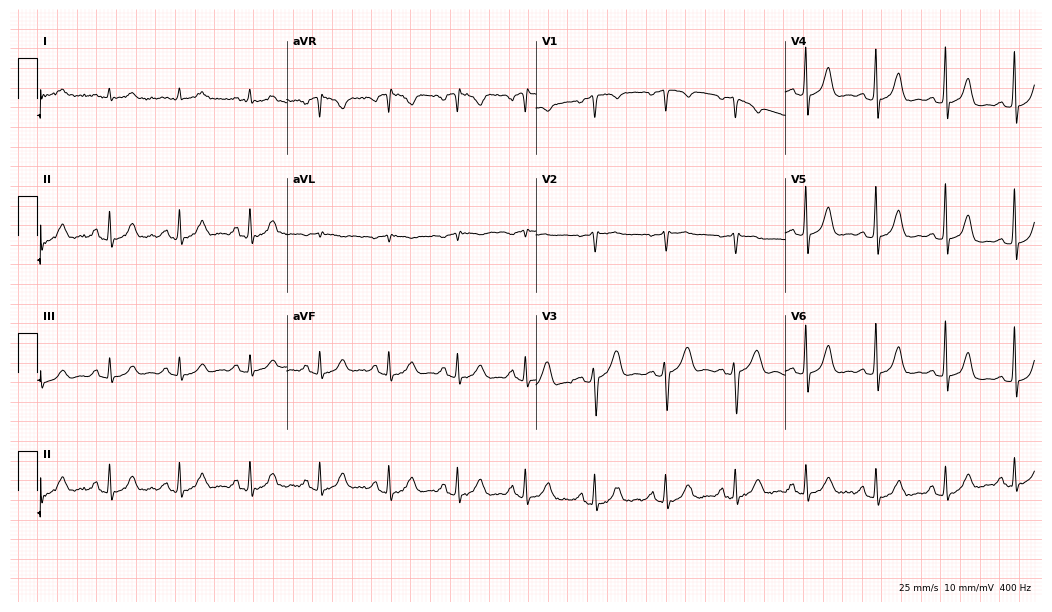
ECG — a 65-year-old male patient. Screened for six findings — first-degree AV block, right bundle branch block, left bundle branch block, sinus bradycardia, atrial fibrillation, sinus tachycardia — none is recorded.